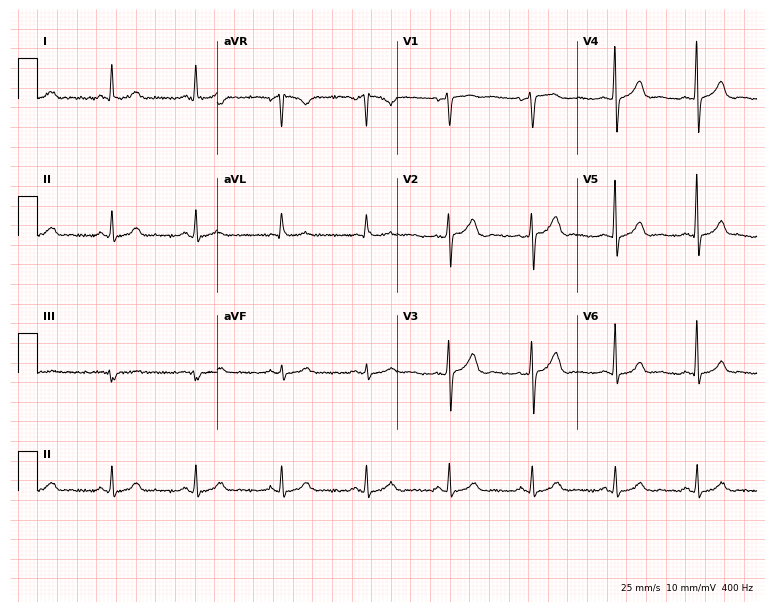
12-lead ECG from a 42-year-old woman (7.3-second recording at 400 Hz). Recorded interpretation: within normal limits.